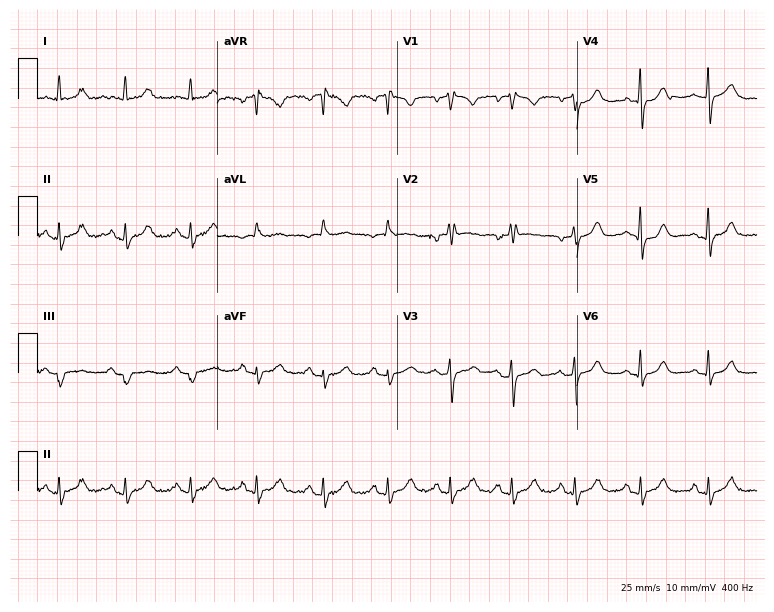
Resting 12-lead electrocardiogram. Patient: a woman, 54 years old. Read as a normal ECG.